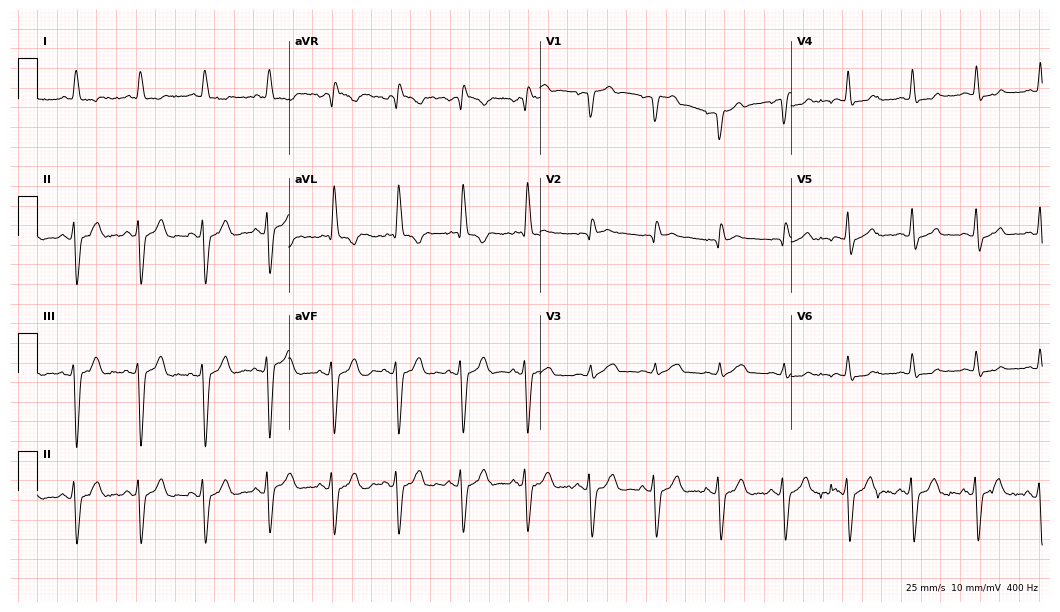
Electrocardiogram, a 79-year-old man. Interpretation includes left bundle branch block.